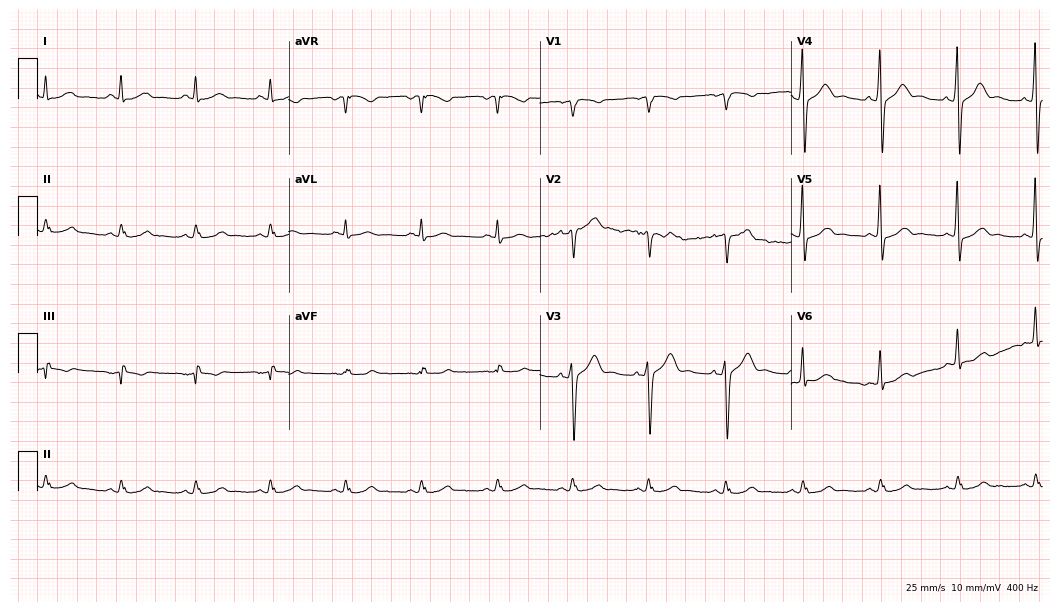
12-lead ECG from a 57-year-old man. Labelled as a normal ECG.